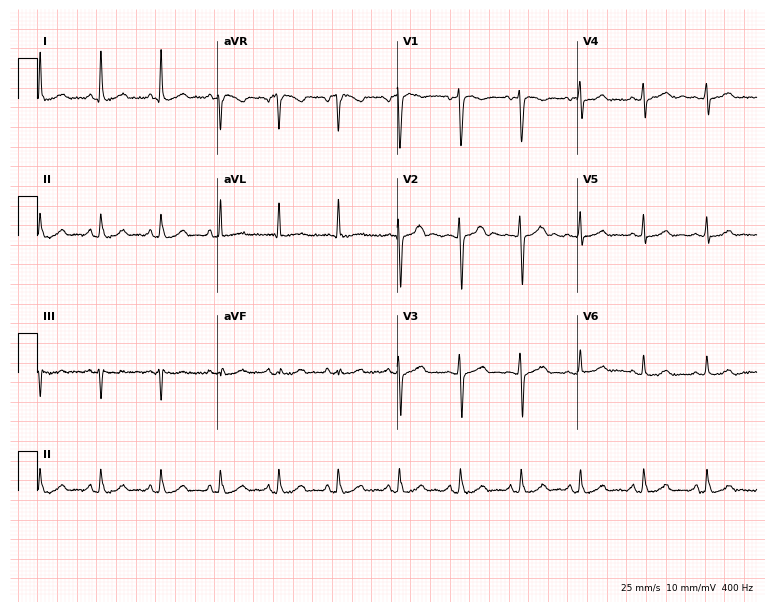
12-lead ECG from a woman, 41 years old (7.3-second recording at 400 Hz). Recorded interpretation: within normal limits.